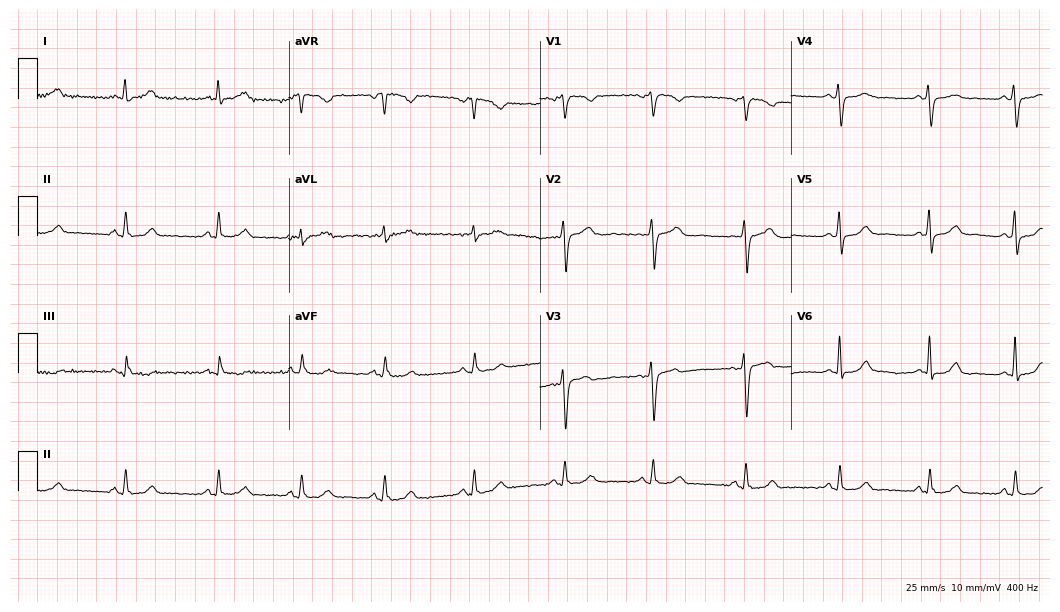
12-lead ECG from a 37-year-old female. No first-degree AV block, right bundle branch block (RBBB), left bundle branch block (LBBB), sinus bradycardia, atrial fibrillation (AF) or sinus tachycardia recorded for this tracing. Other findings, if any, are not listed.